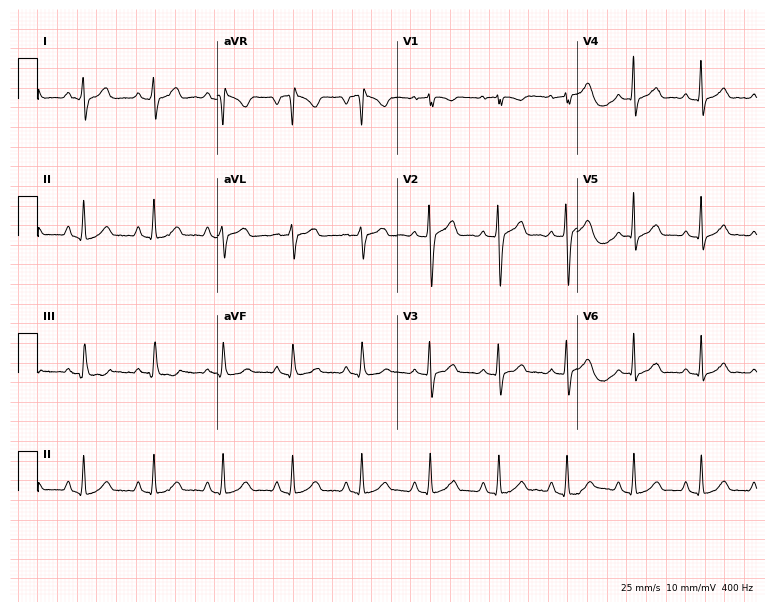
12-lead ECG (7.3-second recording at 400 Hz) from a 24-year-old female. Labelled as a normal ECG.